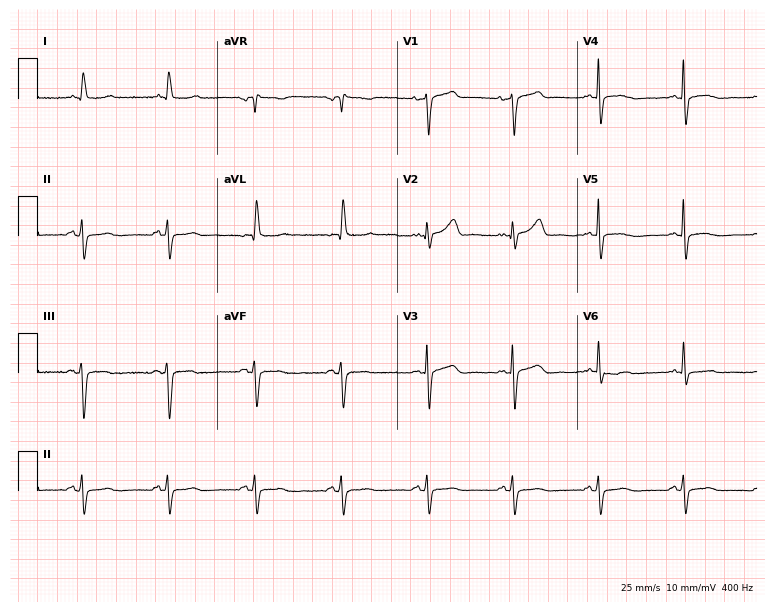
12-lead ECG (7.3-second recording at 400 Hz) from a 65-year-old female. Screened for six findings — first-degree AV block, right bundle branch block (RBBB), left bundle branch block (LBBB), sinus bradycardia, atrial fibrillation (AF), sinus tachycardia — none is recorded. Other findings, if any, are not listed.